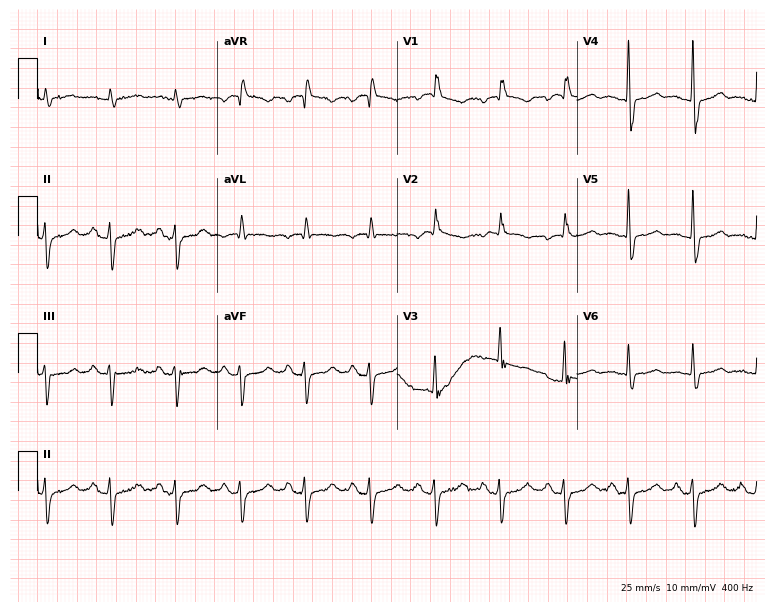
Electrocardiogram, an 84-year-old man. Of the six screened findings (first-degree AV block, right bundle branch block (RBBB), left bundle branch block (LBBB), sinus bradycardia, atrial fibrillation (AF), sinus tachycardia), none is recorded. Other findings, if any, are not listed.